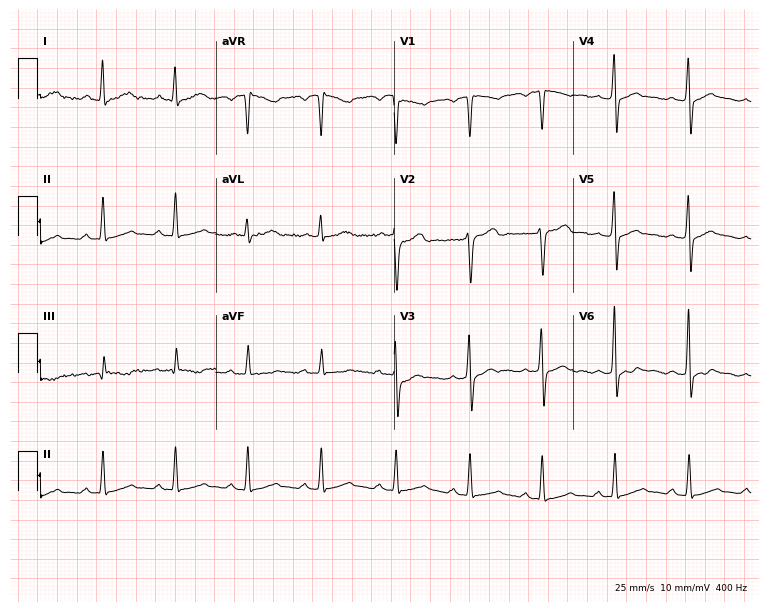
Standard 12-lead ECG recorded from a male, 45 years old (7.3-second recording at 400 Hz). None of these six findings is recorded: first-degree AV block, right bundle branch block, left bundle branch block, sinus bradycardia, atrial fibrillation, sinus tachycardia. Findings outside these six are not listed.